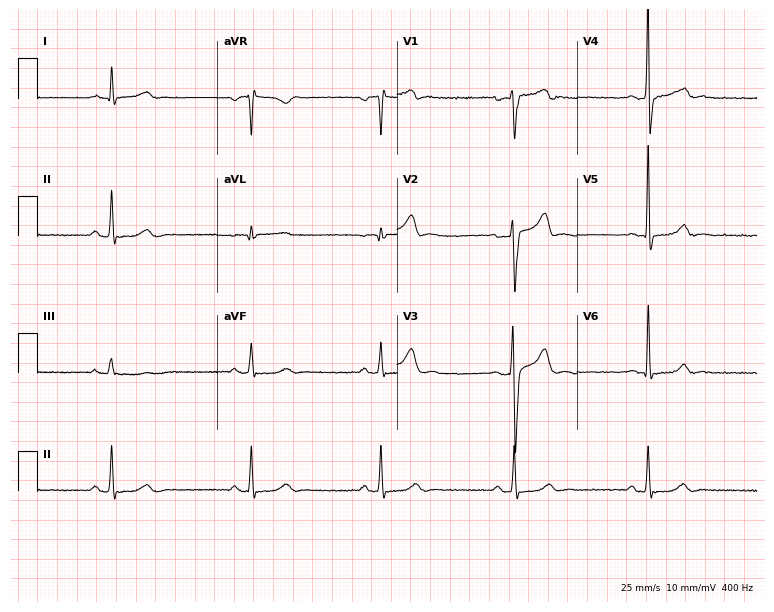
Standard 12-lead ECG recorded from a 33-year-old man. The tracing shows sinus bradycardia (a sinus rate of 50 beats per minute or less).